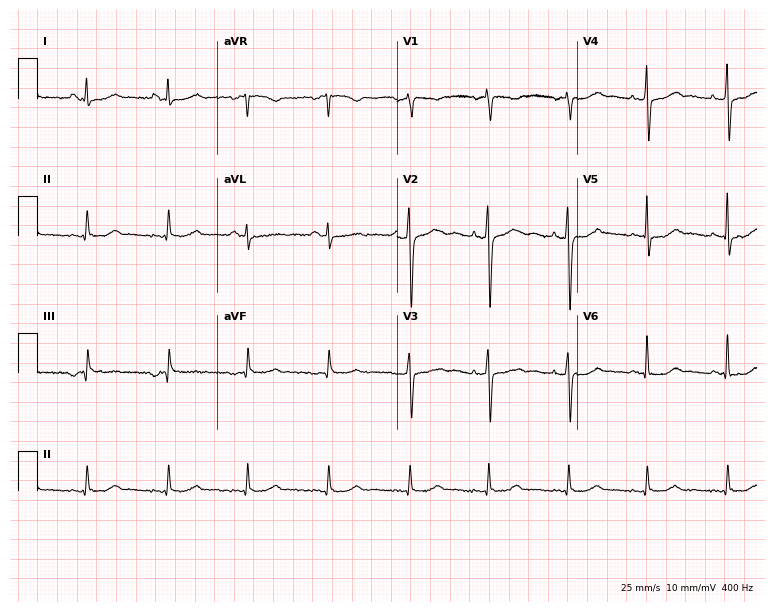
ECG (7.3-second recording at 400 Hz) — a 54-year-old female. Screened for six findings — first-degree AV block, right bundle branch block, left bundle branch block, sinus bradycardia, atrial fibrillation, sinus tachycardia — none is recorded. Findings outside these six are not listed.